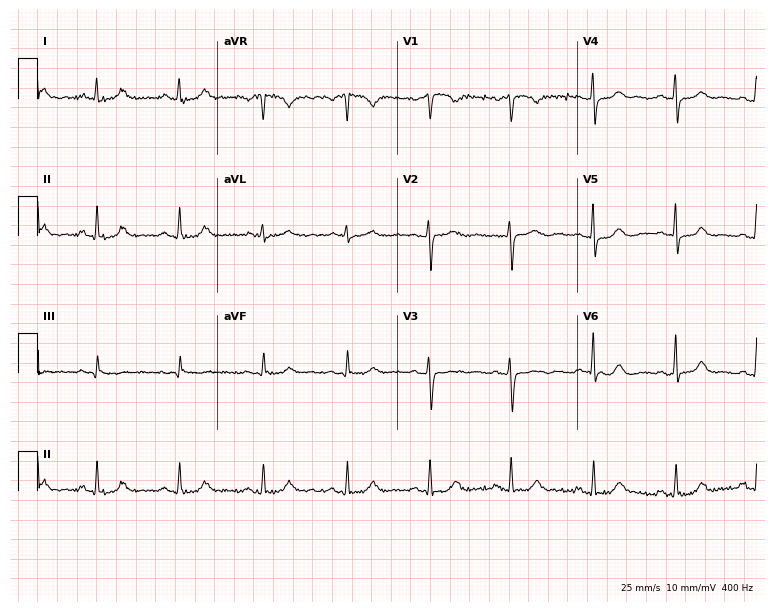
ECG — a 51-year-old woman. Labelled as a normal ECG.